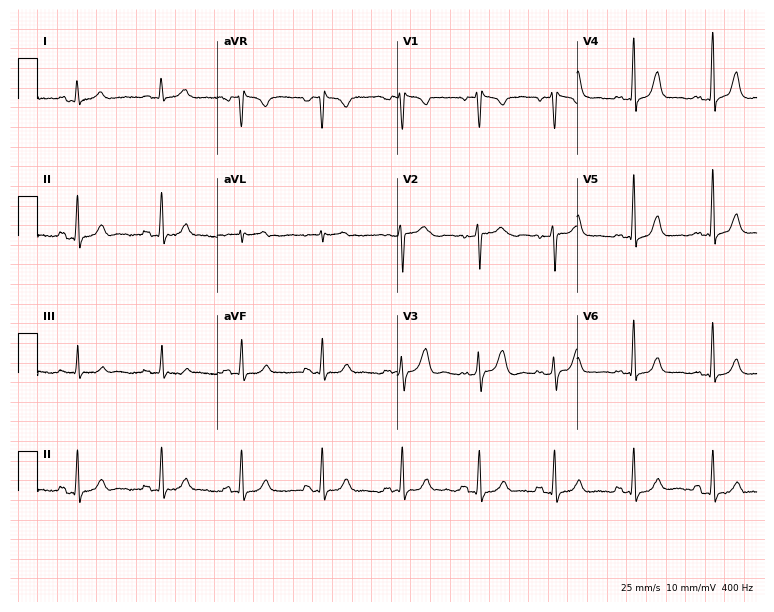
12-lead ECG from a 30-year-old female patient. Recorded interpretation: within normal limits.